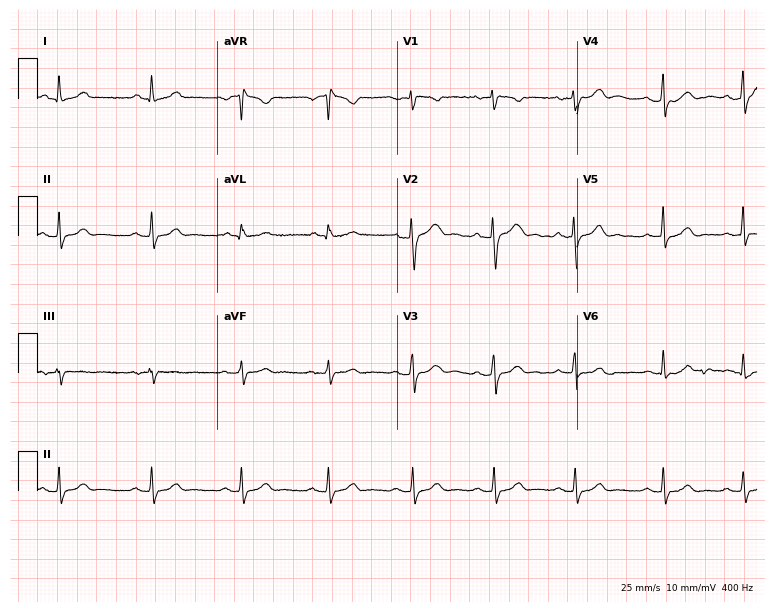
Electrocardiogram, a 30-year-old woman. Of the six screened findings (first-degree AV block, right bundle branch block, left bundle branch block, sinus bradycardia, atrial fibrillation, sinus tachycardia), none is recorded.